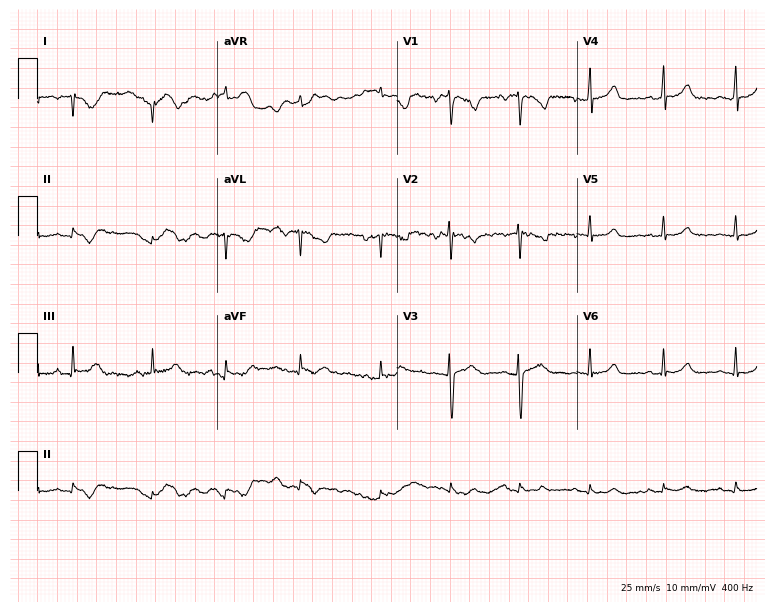
ECG — a woman, 25 years old. Labelled as a normal ECG.